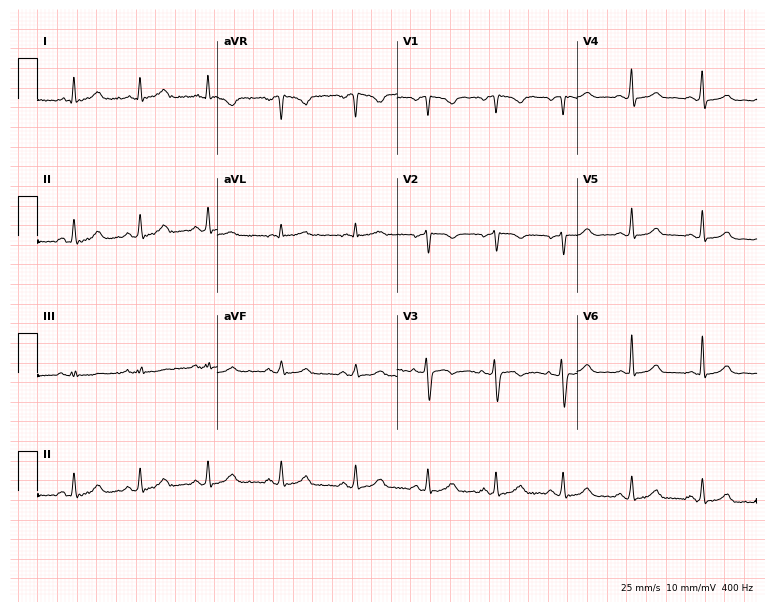
ECG — a female, 34 years old. Screened for six findings — first-degree AV block, right bundle branch block (RBBB), left bundle branch block (LBBB), sinus bradycardia, atrial fibrillation (AF), sinus tachycardia — none is recorded.